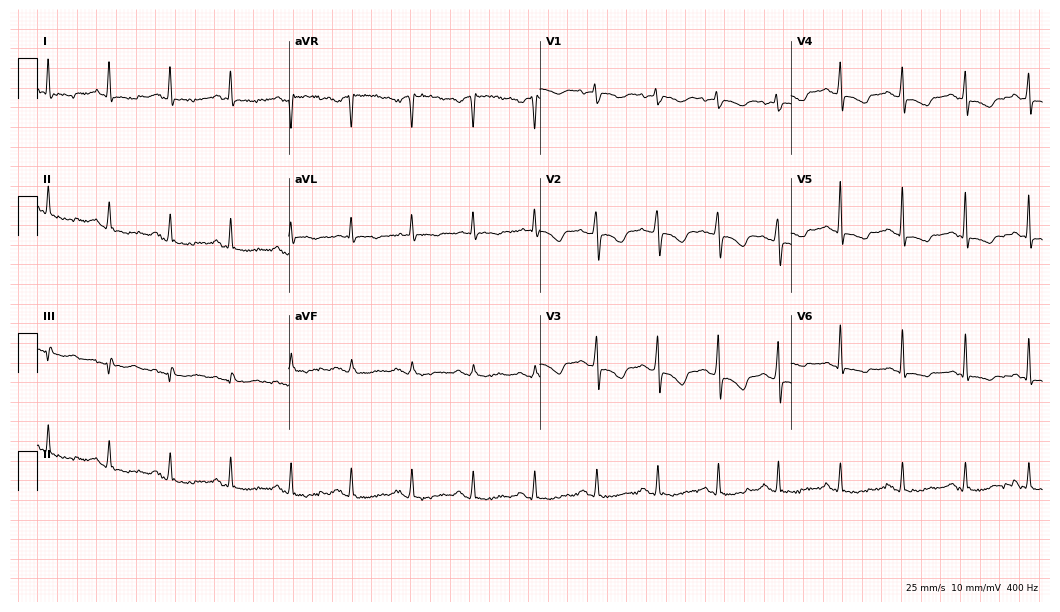
Resting 12-lead electrocardiogram. Patient: a female, 56 years old. None of these six findings is recorded: first-degree AV block, right bundle branch block (RBBB), left bundle branch block (LBBB), sinus bradycardia, atrial fibrillation (AF), sinus tachycardia. Other findings, if any, are not listed.